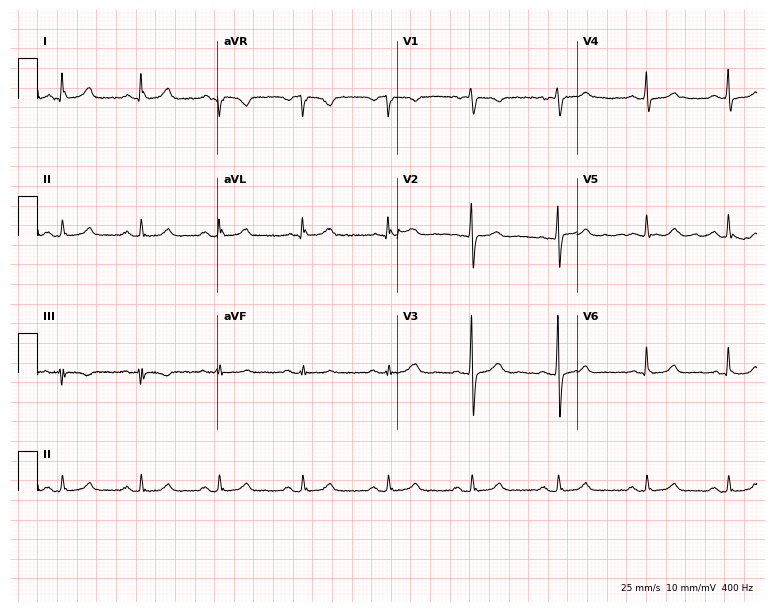
12-lead ECG (7.3-second recording at 400 Hz) from a 24-year-old female patient. Labelled as a normal ECG.